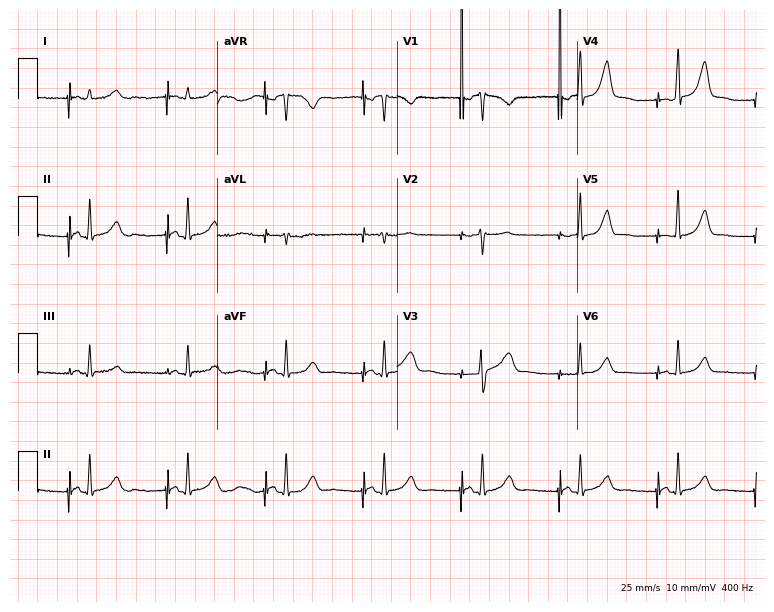
Electrocardiogram, a 34-year-old female patient. Of the six screened findings (first-degree AV block, right bundle branch block, left bundle branch block, sinus bradycardia, atrial fibrillation, sinus tachycardia), none is recorded. Other findings, if any, are not listed.